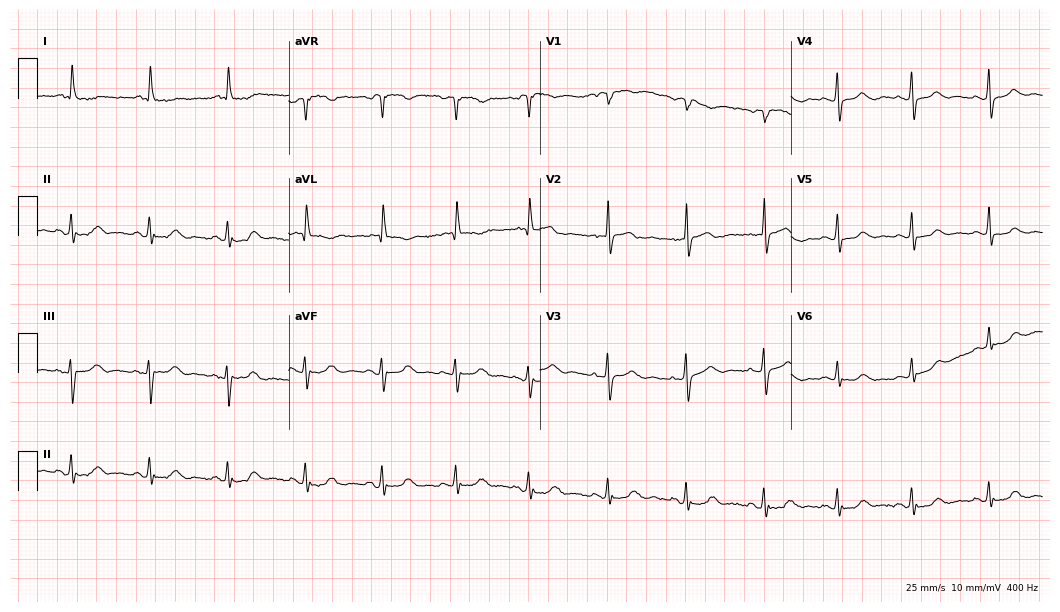
Electrocardiogram, a 72-year-old female patient. Of the six screened findings (first-degree AV block, right bundle branch block, left bundle branch block, sinus bradycardia, atrial fibrillation, sinus tachycardia), none is recorded. Only these six findings were labelled.